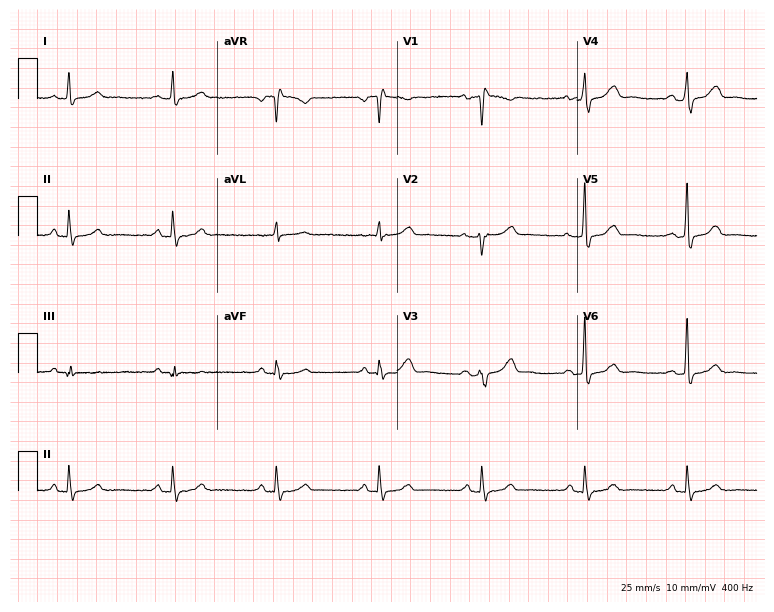
Electrocardiogram, a male, 60 years old. Of the six screened findings (first-degree AV block, right bundle branch block, left bundle branch block, sinus bradycardia, atrial fibrillation, sinus tachycardia), none is recorded. Only these six findings were labelled.